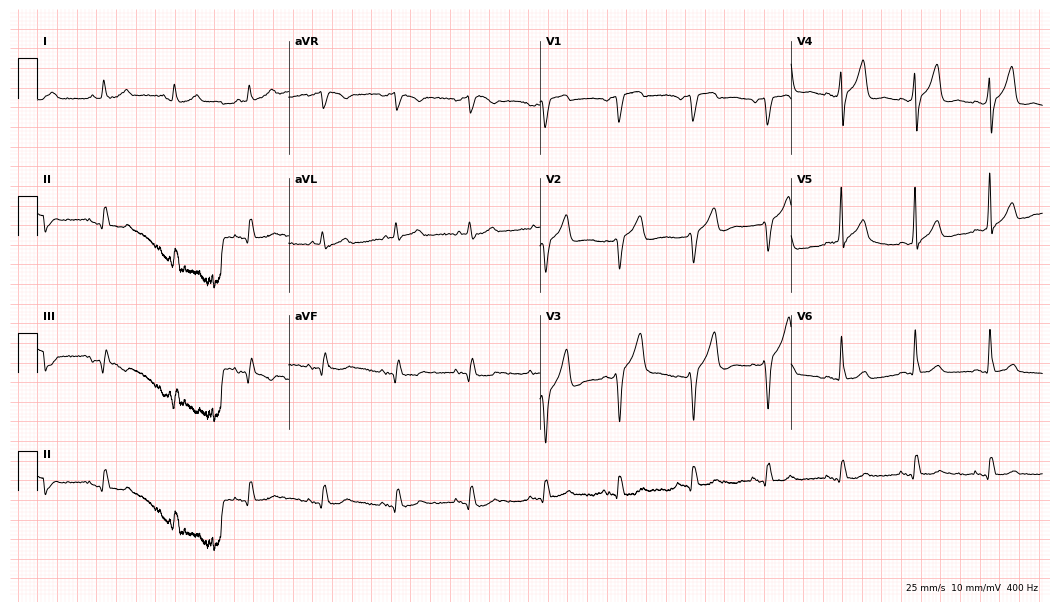
12-lead ECG from a female, 78 years old (10.2-second recording at 400 Hz). No first-degree AV block, right bundle branch block, left bundle branch block, sinus bradycardia, atrial fibrillation or sinus tachycardia recorded for this tracing. Other findings, if any, are not listed.